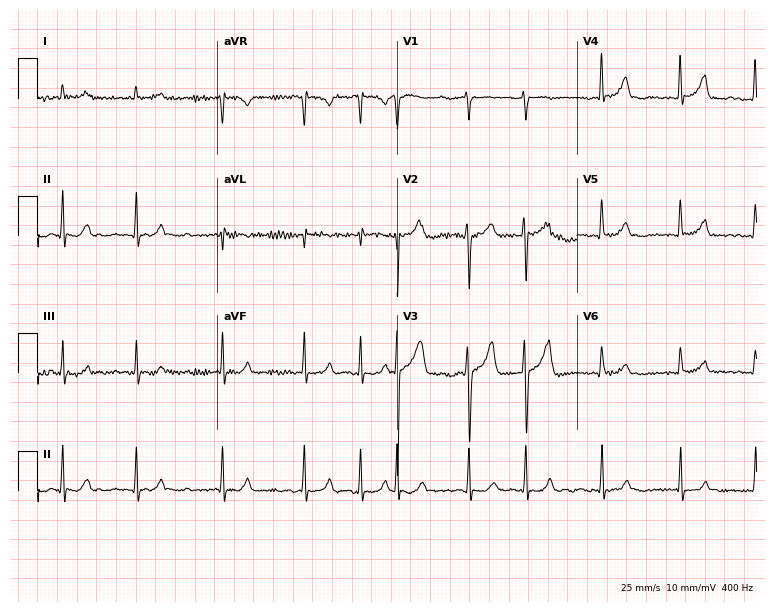
Electrocardiogram, a male, 80 years old. Interpretation includes atrial fibrillation.